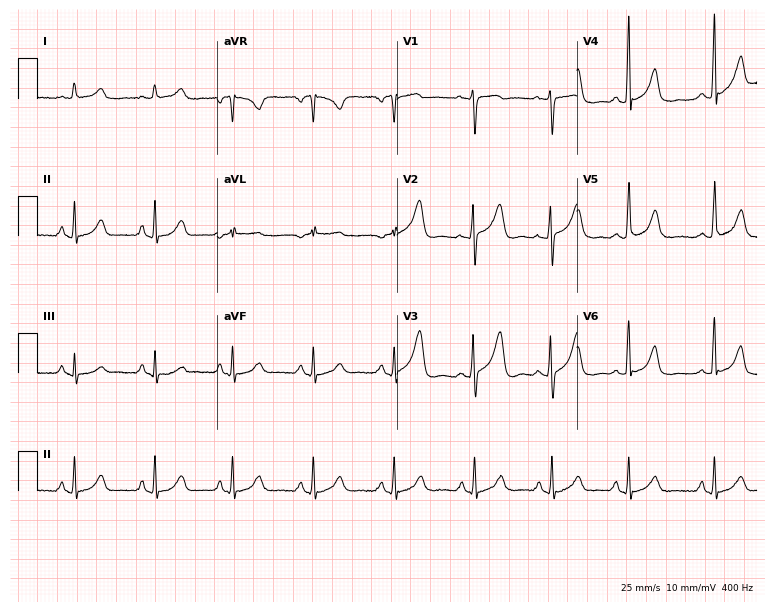
Standard 12-lead ECG recorded from a 41-year-old female patient (7.3-second recording at 400 Hz). Read as a normal ECG.